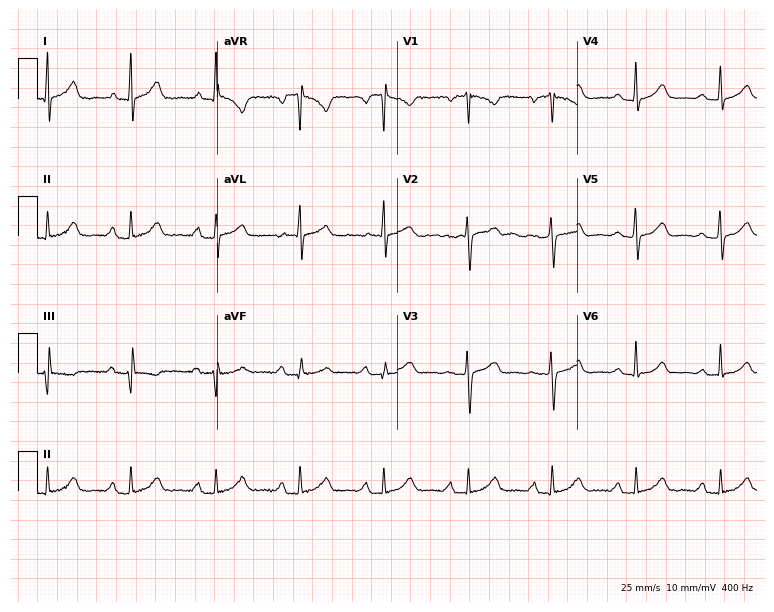
Resting 12-lead electrocardiogram. Patient: a 51-year-old female. None of these six findings is recorded: first-degree AV block, right bundle branch block, left bundle branch block, sinus bradycardia, atrial fibrillation, sinus tachycardia.